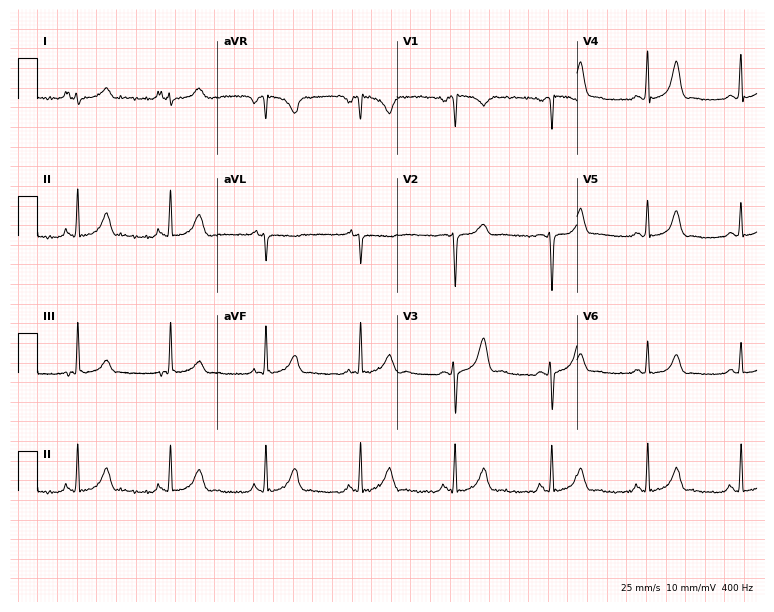
Electrocardiogram, a woman, 26 years old. Overall reading on record: normal ECG.